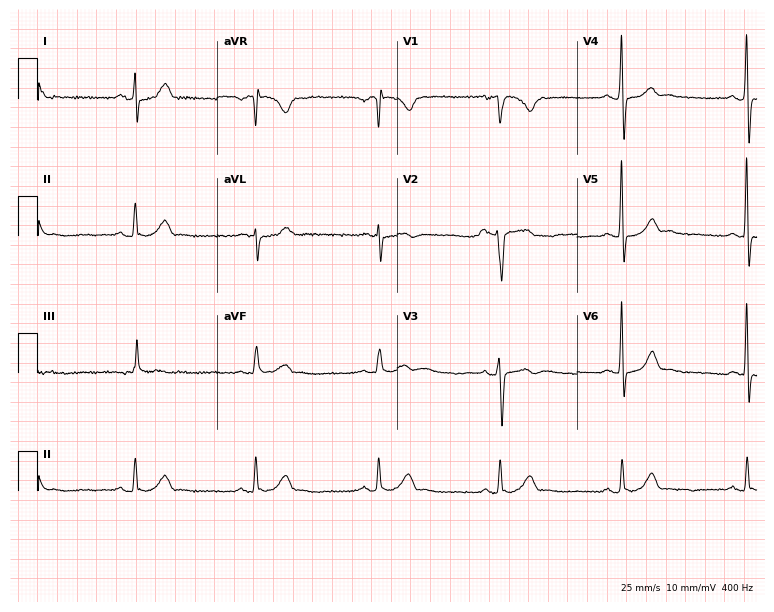
12-lead ECG from a 34-year-old male patient (7.3-second recording at 400 Hz). Shows sinus bradycardia (a sinus rate of 50 beats per minute or less).